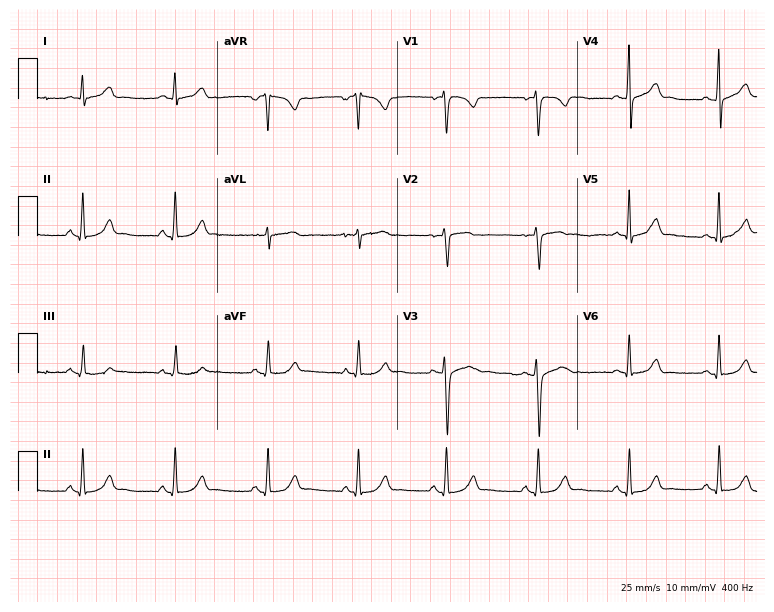
12-lead ECG from a female patient, 20 years old. Labelled as a normal ECG.